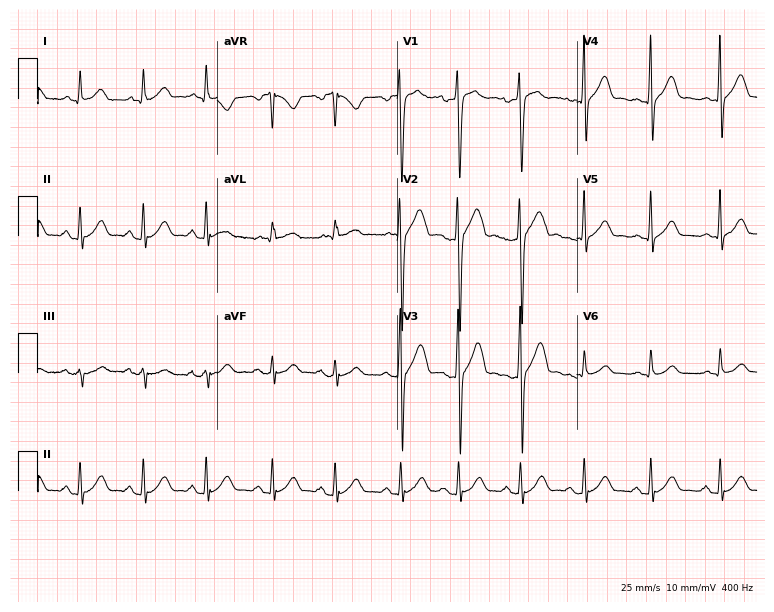
ECG — a male patient, 21 years old. Labelled as a normal ECG.